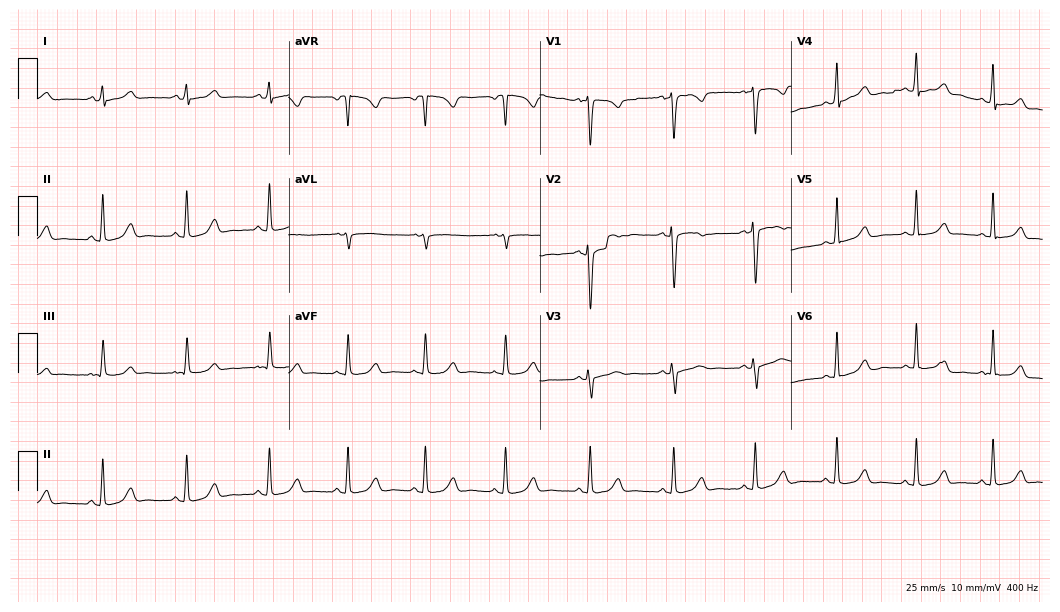
ECG (10.2-second recording at 400 Hz) — a 25-year-old female patient. Labelled as a normal ECG.